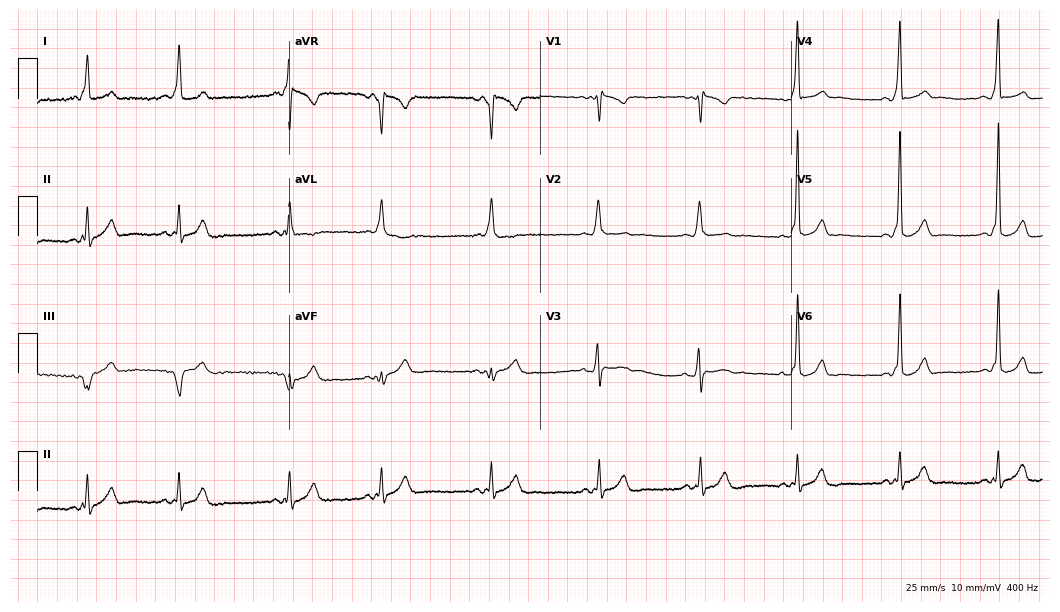
Electrocardiogram (10.2-second recording at 400 Hz), a 30-year-old male patient. Of the six screened findings (first-degree AV block, right bundle branch block, left bundle branch block, sinus bradycardia, atrial fibrillation, sinus tachycardia), none is recorded. Findings outside these six are not listed.